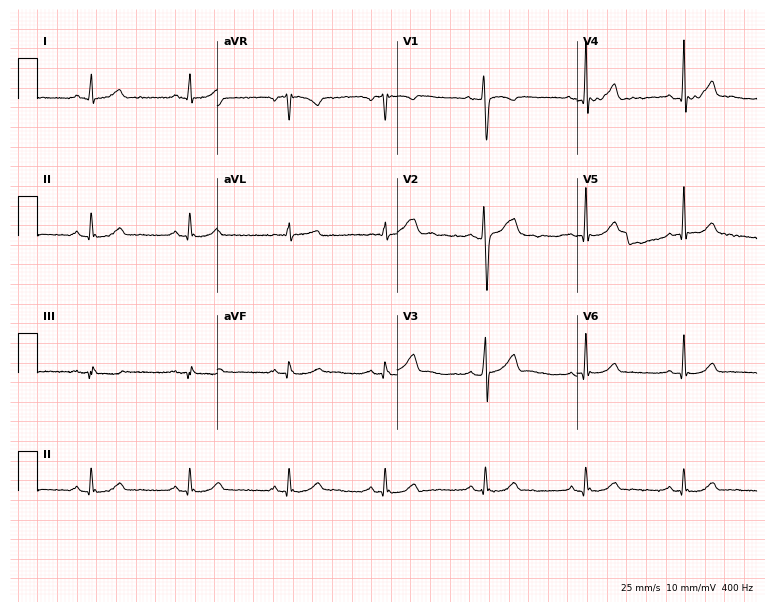
12-lead ECG from a 46-year-old male. Recorded interpretation: within normal limits.